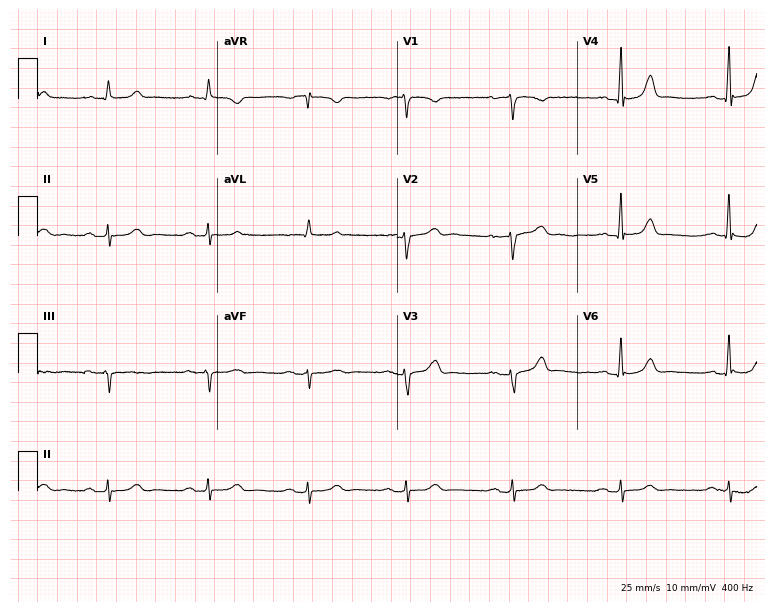
Electrocardiogram (7.3-second recording at 400 Hz), a woman, 42 years old. Overall reading on record: normal ECG.